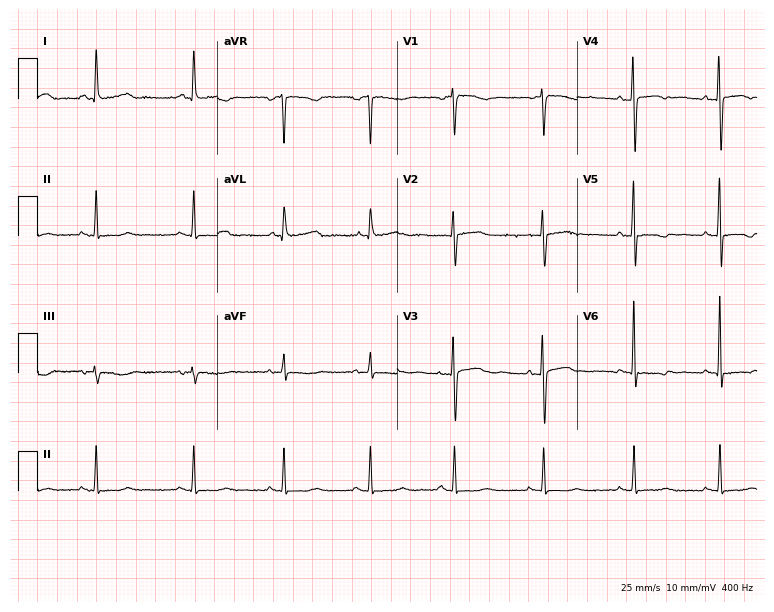
ECG (7.3-second recording at 400 Hz) — a female, 72 years old. Screened for six findings — first-degree AV block, right bundle branch block, left bundle branch block, sinus bradycardia, atrial fibrillation, sinus tachycardia — none is recorded. Only these six findings were labelled.